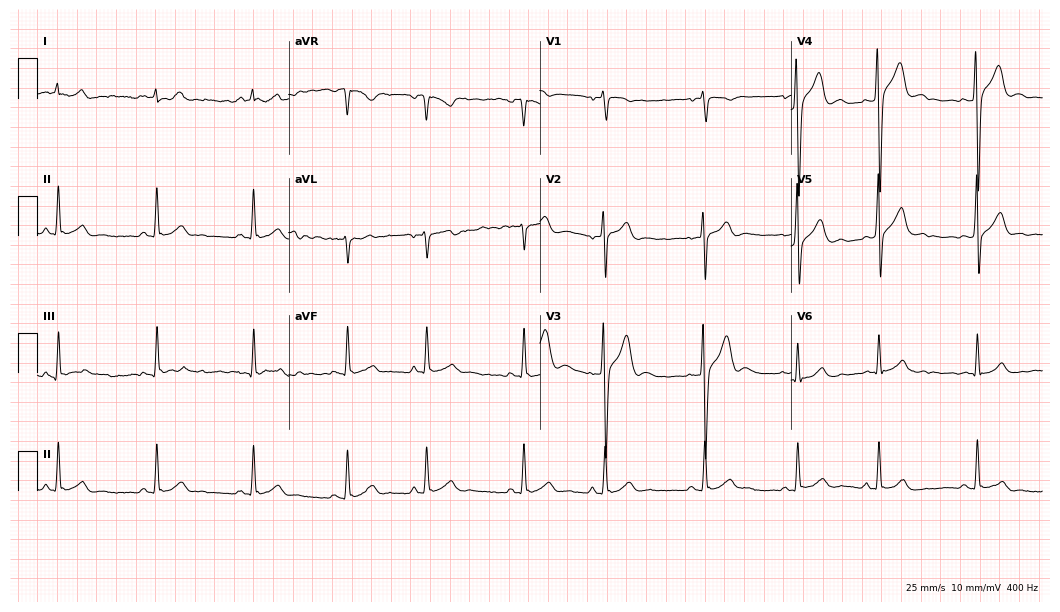
ECG — a male, 25 years old. Labelled as a normal ECG.